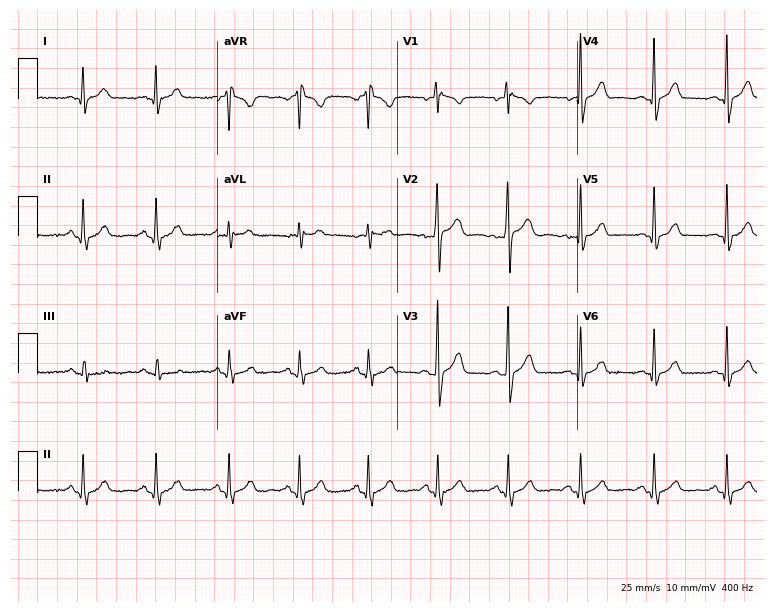
12-lead ECG from a male, 21 years old. Recorded interpretation: within normal limits.